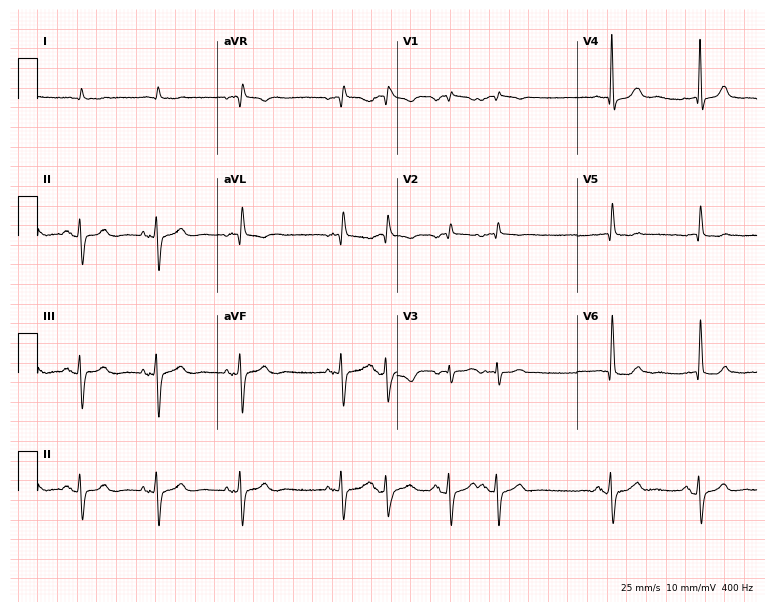
12-lead ECG from a male, 81 years old. Screened for six findings — first-degree AV block, right bundle branch block, left bundle branch block, sinus bradycardia, atrial fibrillation, sinus tachycardia — none is recorded. Only these six findings were labelled.